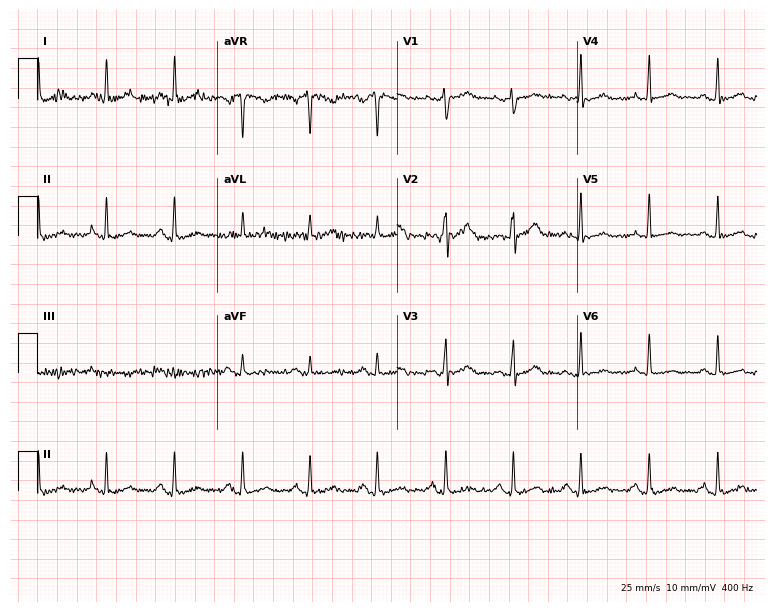
12-lead ECG from a male patient, 30 years old. Recorded interpretation: within normal limits.